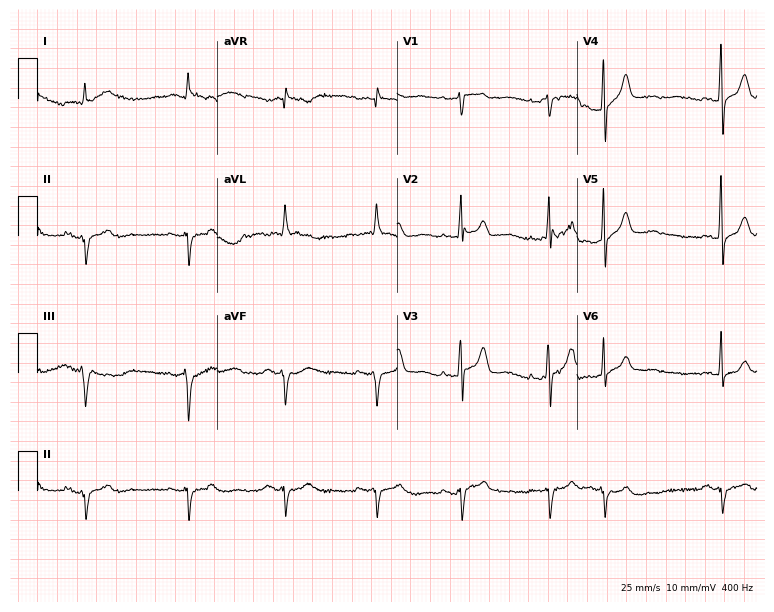
Standard 12-lead ECG recorded from a 73-year-old male (7.3-second recording at 400 Hz). None of these six findings is recorded: first-degree AV block, right bundle branch block (RBBB), left bundle branch block (LBBB), sinus bradycardia, atrial fibrillation (AF), sinus tachycardia.